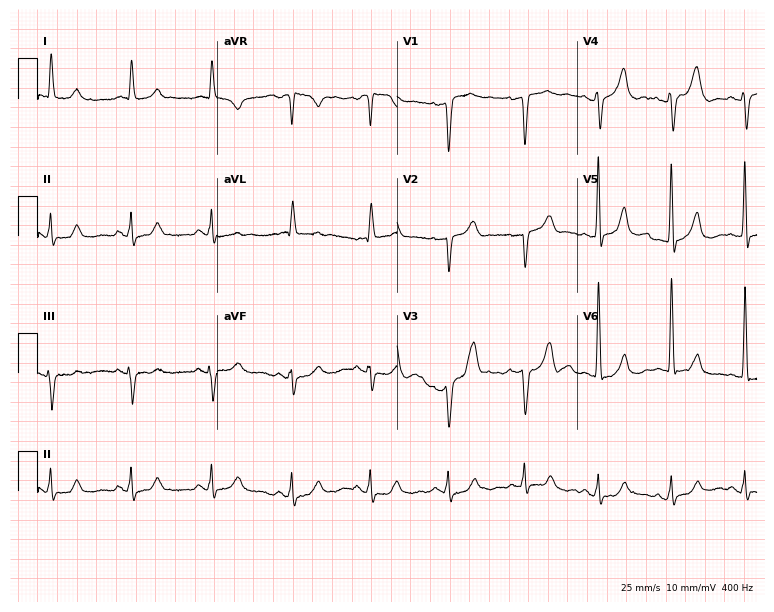
12-lead ECG from a male patient, 72 years old. No first-degree AV block, right bundle branch block (RBBB), left bundle branch block (LBBB), sinus bradycardia, atrial fibrillation (AF) or sinus tachycardia recorded for this tracing. Other findings, if any, are not listed.